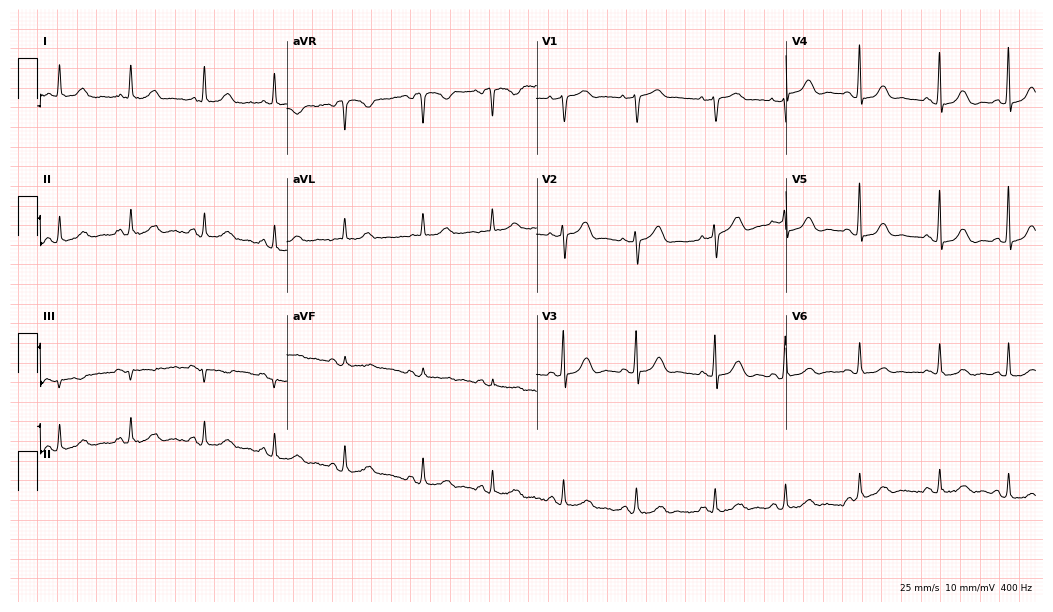
ECG (10.2-second recording at 400 Hz) — a female patient, 78 years old. Labelled as a normal ECG.